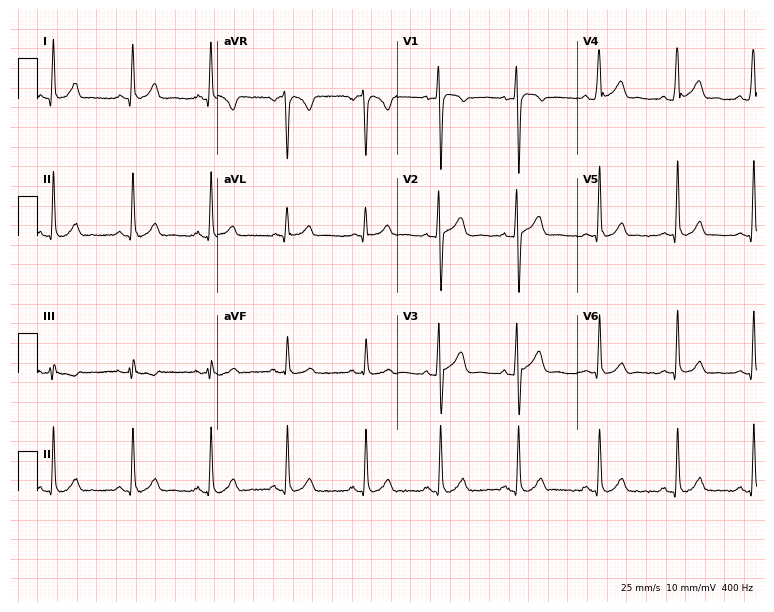
12-lead ECG from a 24-year-old male. Recorded interpretation: within normal limits.